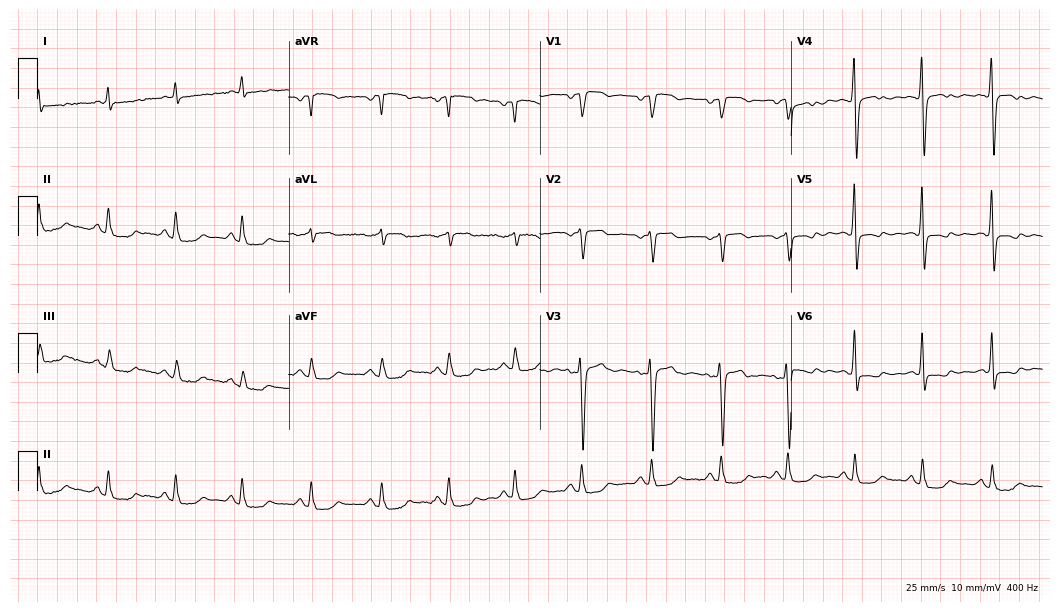
12-lead ECG (10.2-second recording at 400 Hz) from a 79-year-old female. Screened for six findings — first-degree AV block, right bundle branch block (RBBB), left bundle branch block (LBBB), sinus bradycardia, atrial fibrillation (AF), sinus tachycardia — none is recorded.